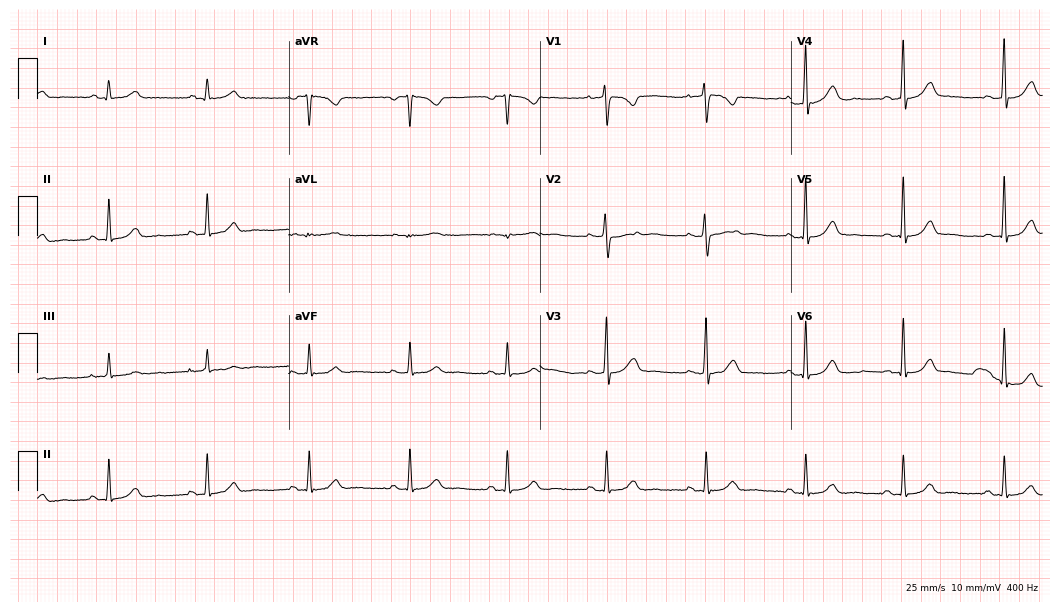
Electrocardiogram (10.2-second recording at 400 Hz), a female, 26 years old. Overall reading on record: normal ECG.